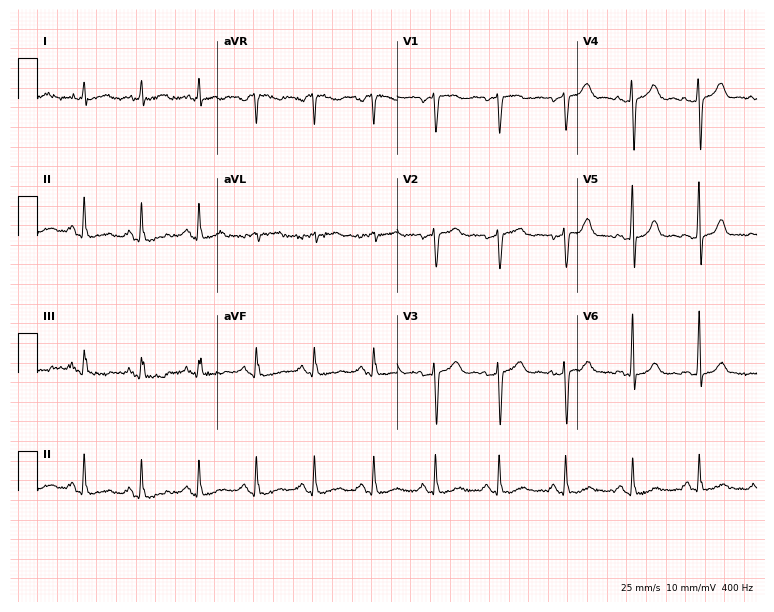
Standard 12-lead ECG recorded from a female, 44 years old (7.3-second recording at 400 Hz). Read as a normal ECG.